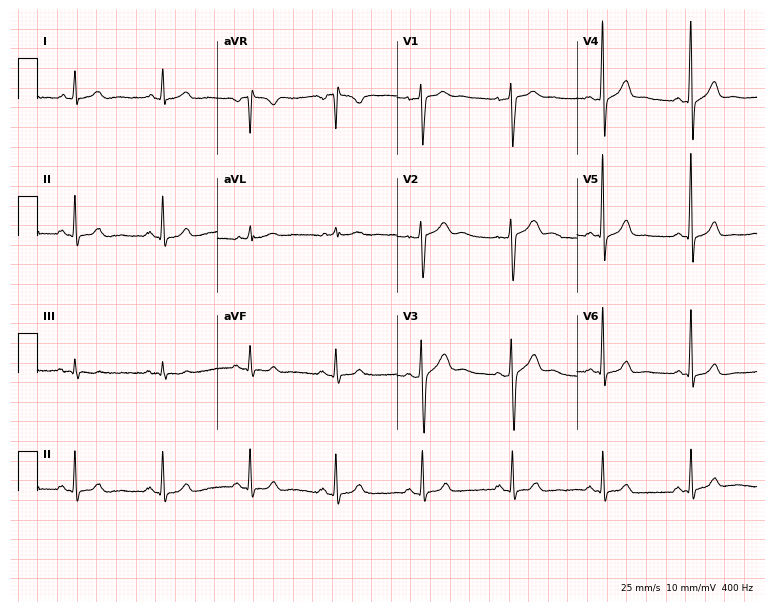
12-lead ECG from a male, 41 years old. Recorded interpretation: within normal limits.